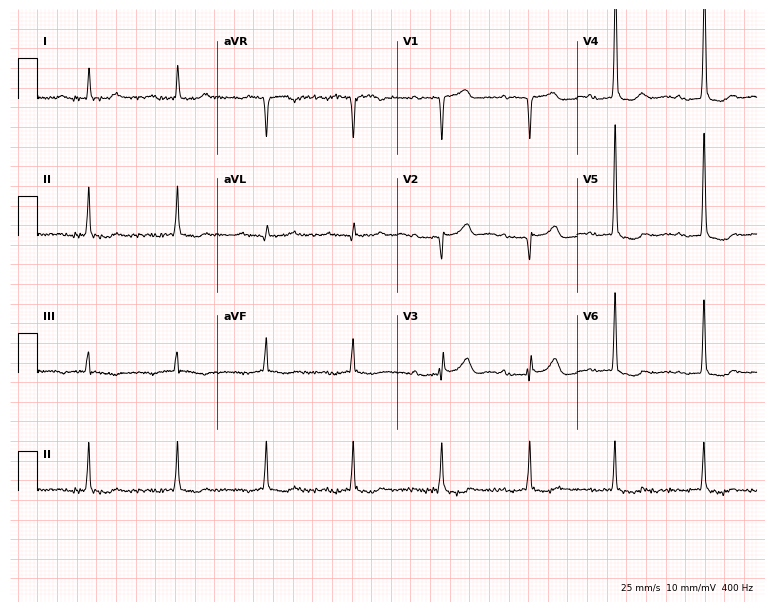
Electrocardiogram, a 77-year-old female. Of the six screened findings (first-degree AV block, right bundle branch block (RBBB), left bundle branch block (LBBB), sinus bradycardia, atrial fibrillation (AF), sinus tachycardia), none is recorded. Other findings, if any, are not listed.